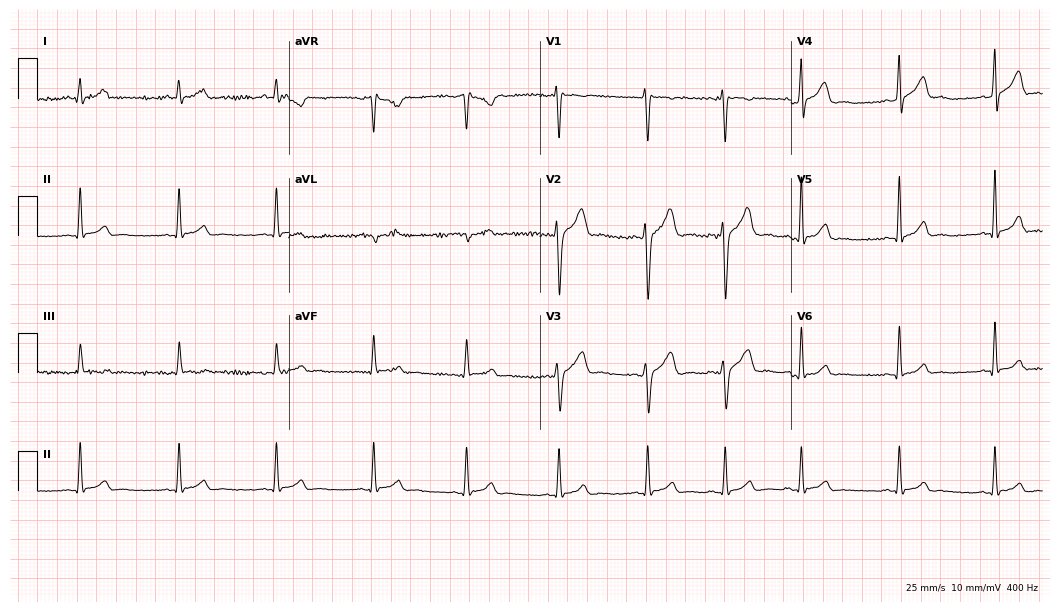
Standard 12-lead ECG recorded from a male, 19 years old. Read as a normal ECG.